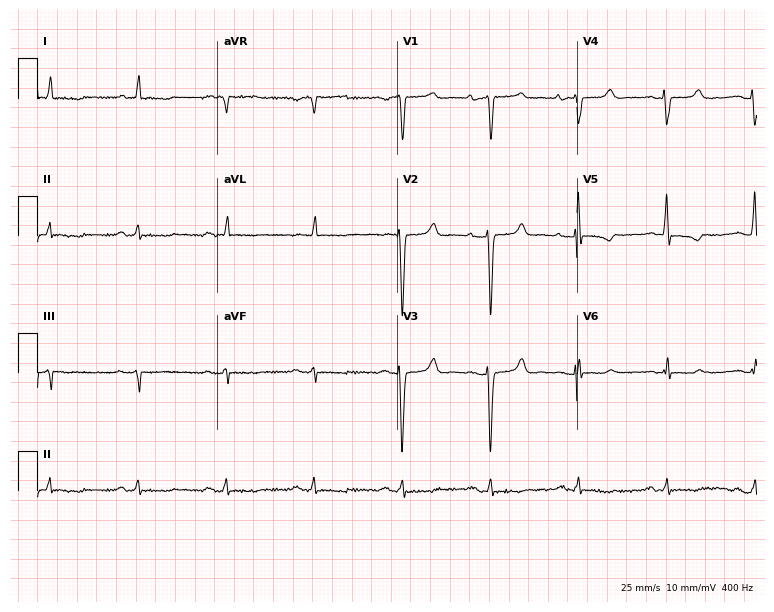
12-lead ECG from a 59-year-old female. Screened for six findings — first-degree AV block, right bundle branch block, left bundle branch block, sinus bradycardia, atrial fibrillation, sinus tachycardia — none is recorded. Only these six findings were labelled.